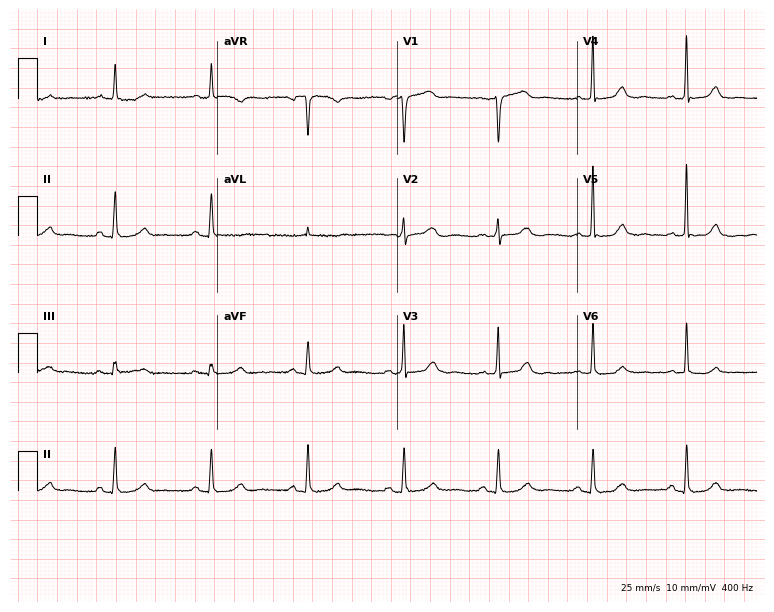
12-lead ECG from a female, 75 years old. Labelled as a normal ECG.